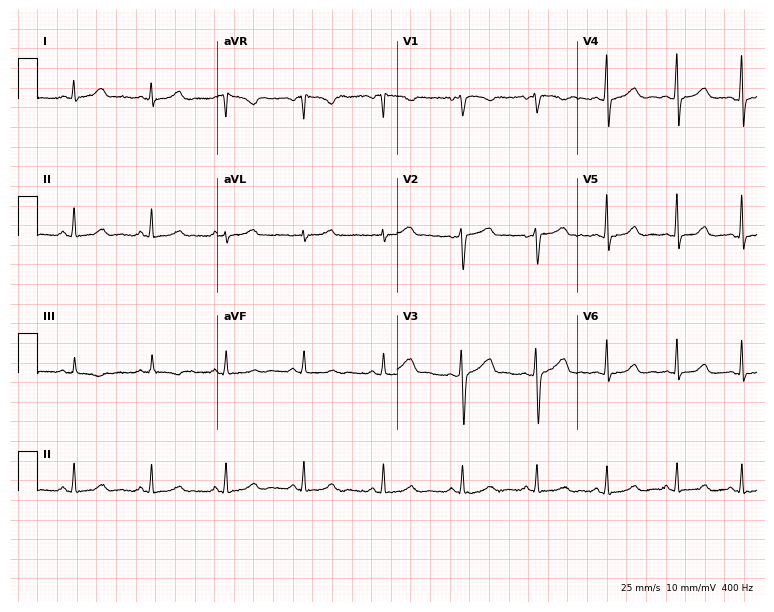
12-lead ECG from a 38-year-old woman. Recorded interpretation: within normal limits.